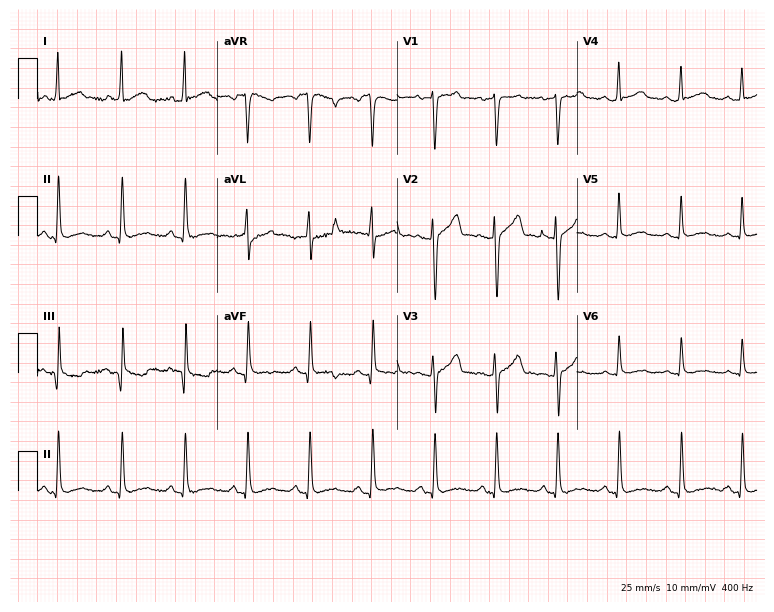
Standard 12-lead ECG recorded from a male, 38 years old (7.3-second recording at 400 Hz). Read as a normal ECG.